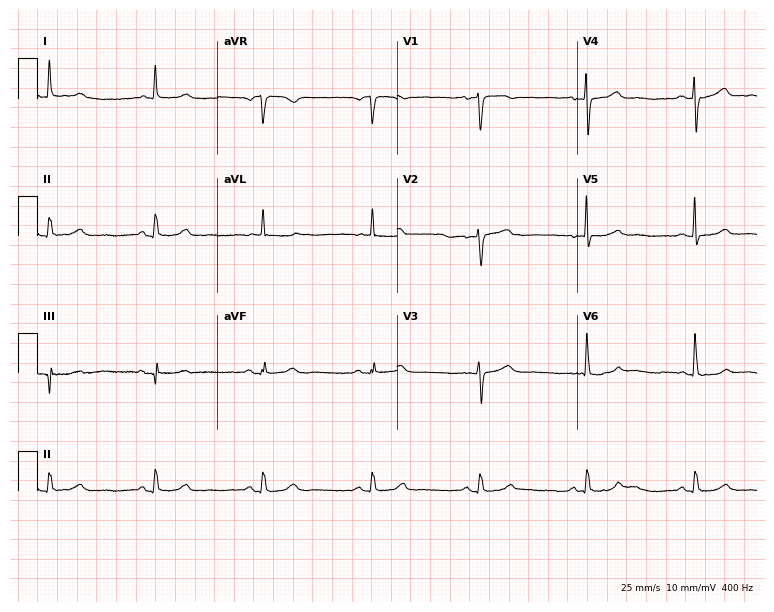
Standard 12-lead ECG recorded from a female patient, 64 years old. None of these six findings is recorded: first-degree AV block, right bundle branch block, left bundle branch block, sinus bradycardia, atrial fibrillation, sinus tachycardia. Only these six findings were labelled.